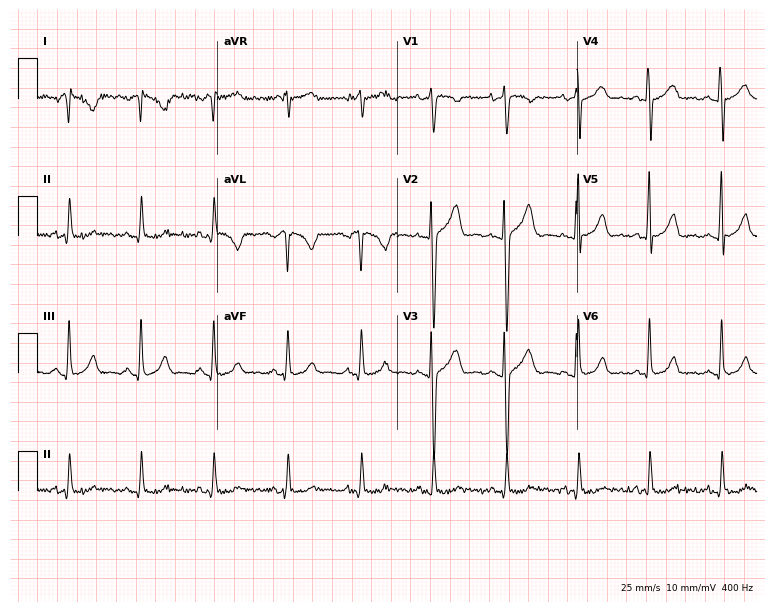
12-lead ECG (7.3-second recording at 400 Hz) from a 32-year-old female. Screened for six findings — first-degree AV block, right bundle branch block, left bundle branch block, sinus bradycardia, atrial fibrillation, sinus tachycardia — none is recorded.